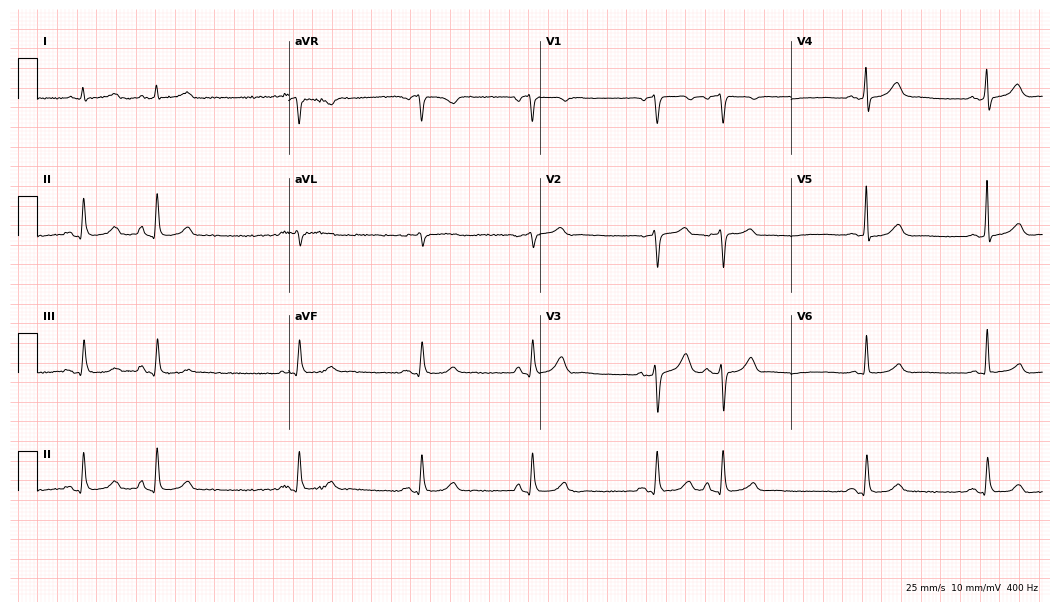
12-lead ECG from a 69-year-old male patient (10.2-second recording at 400 Hz). No first-degree AV block, right bundle branch block, left bundle branch block, sinus bradycardia, atrial fibrillation or sinus tachycardia recorded for this tracing.